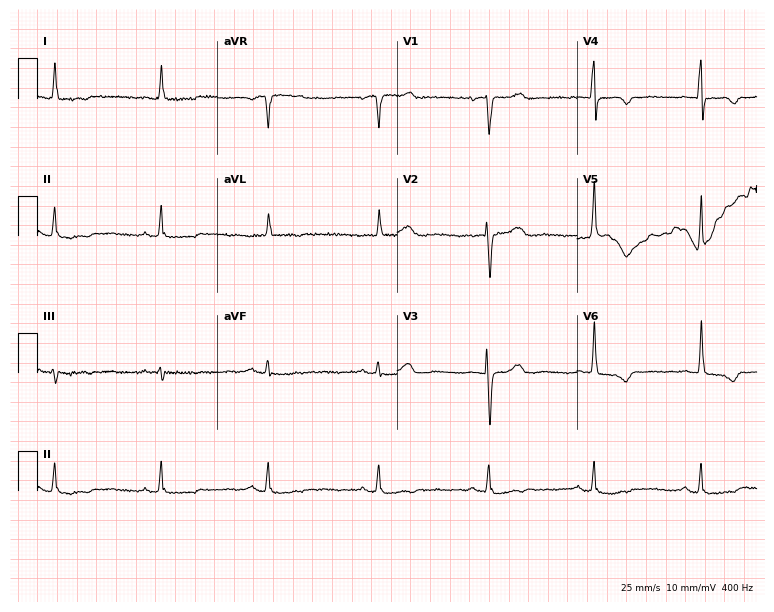
ECG (7.3-second recording at 400 Hz) — a female, 70 years old. Screened for six findings — first-degree AV block, right bundle branch block (RBBB), left bundle branch block (LBBB), sinus bradycardia, atrial fibrillation (AF), sinus tachycardia — none is recorded.